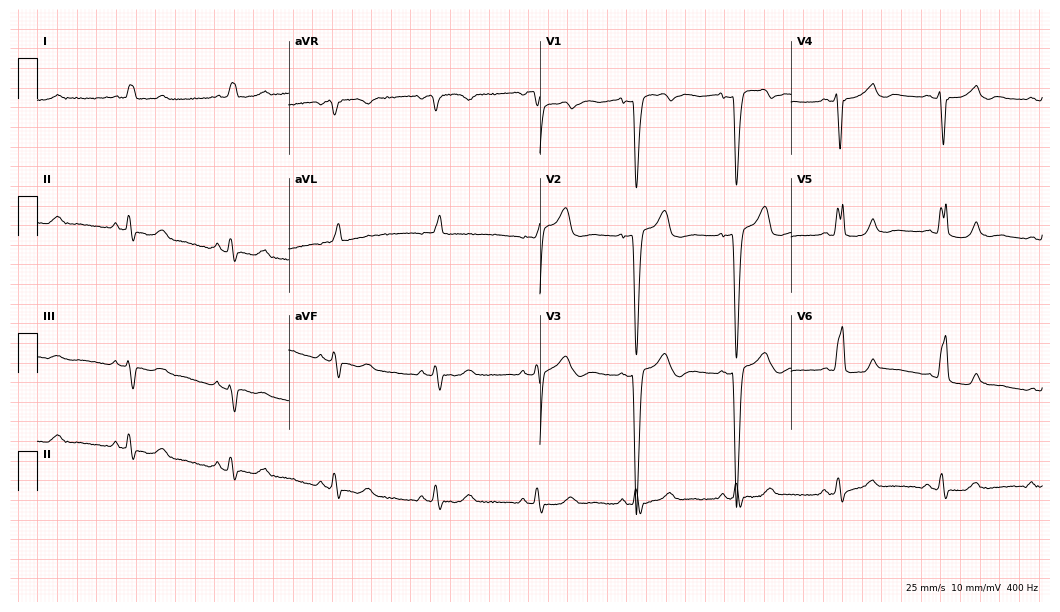
ECG (10.2-second recording at 400 Hz) — a female, 67 years old. Findings include left bundle branch block.